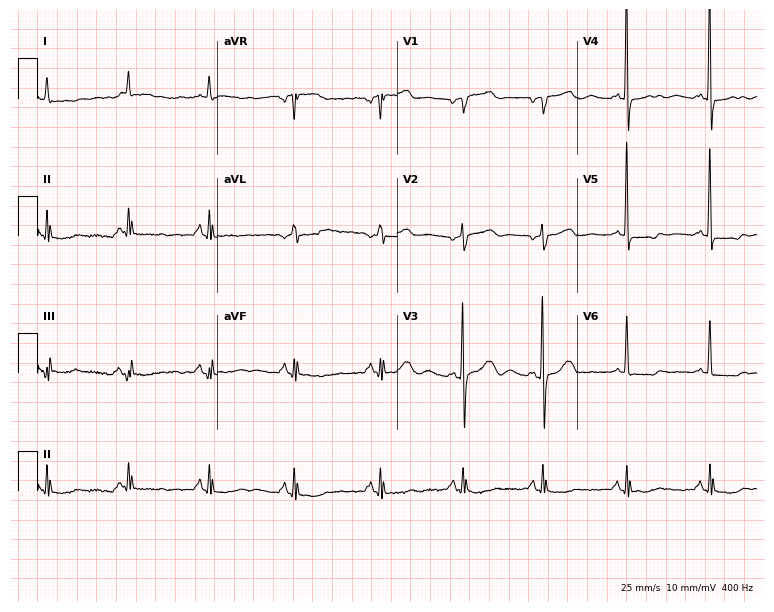
Standard 12-lead ECG recorded from a 78-year-old female patient (7.3-second recording at 400 Hz). Read as a normal ECG.